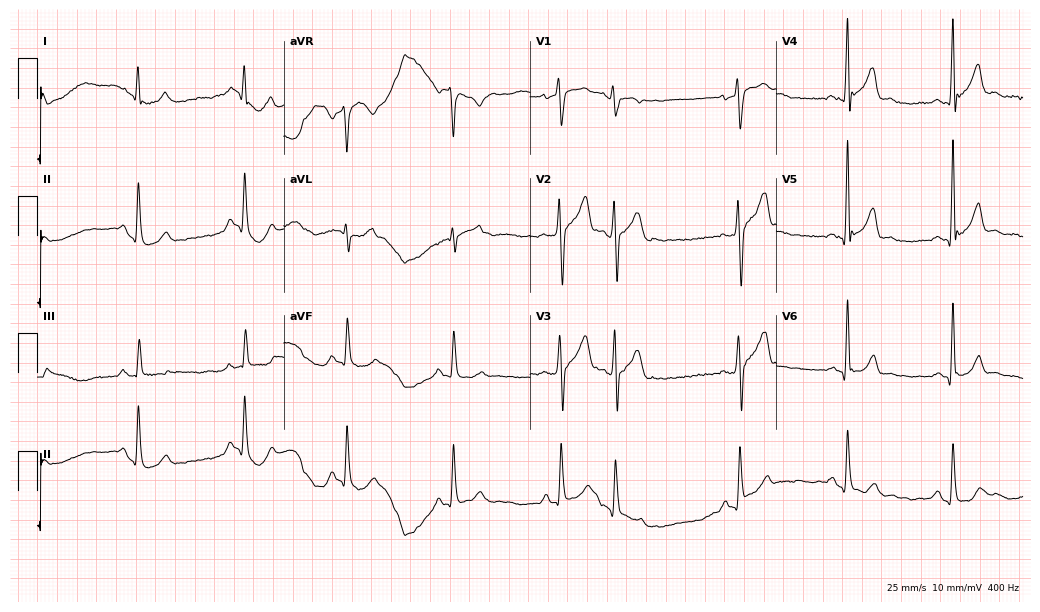
Electrocardiogram (10-second recording at 400 Hz), a male patient, 39 years old. Of the six screened findings (first-degree AV block, right bundle branch block (RBBB), left bundle branch block (LBBB), sinus bradycardia, atrial fibrillation (AF), sinus tachycardia), none is recorded. Only these six findings were labelled.